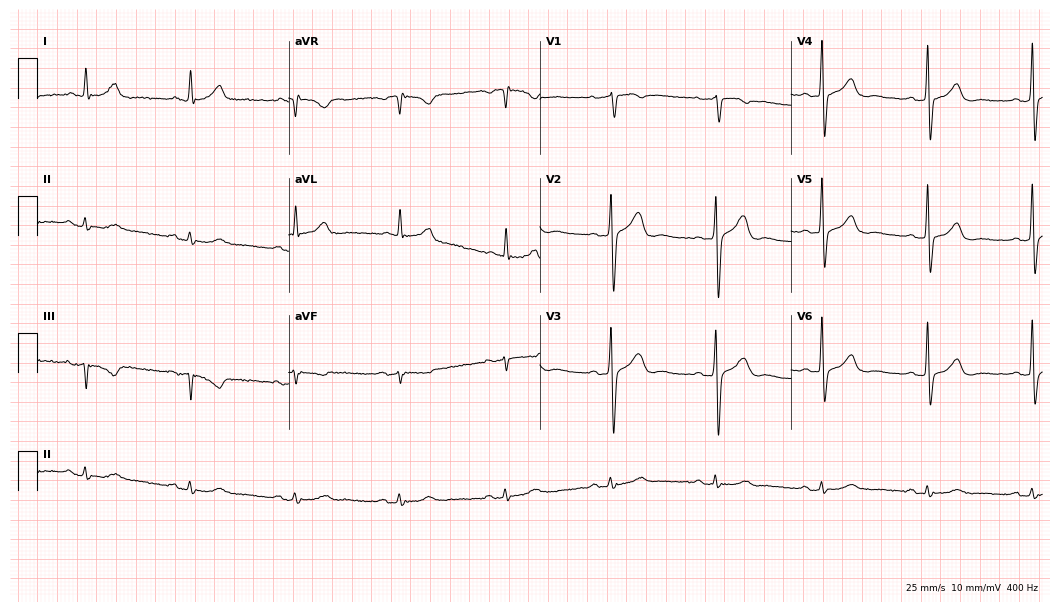
12-lead ECG (10.2-second recording at 400 Hz) from a 78-year-old male patient. Labelled as a normal ECG.